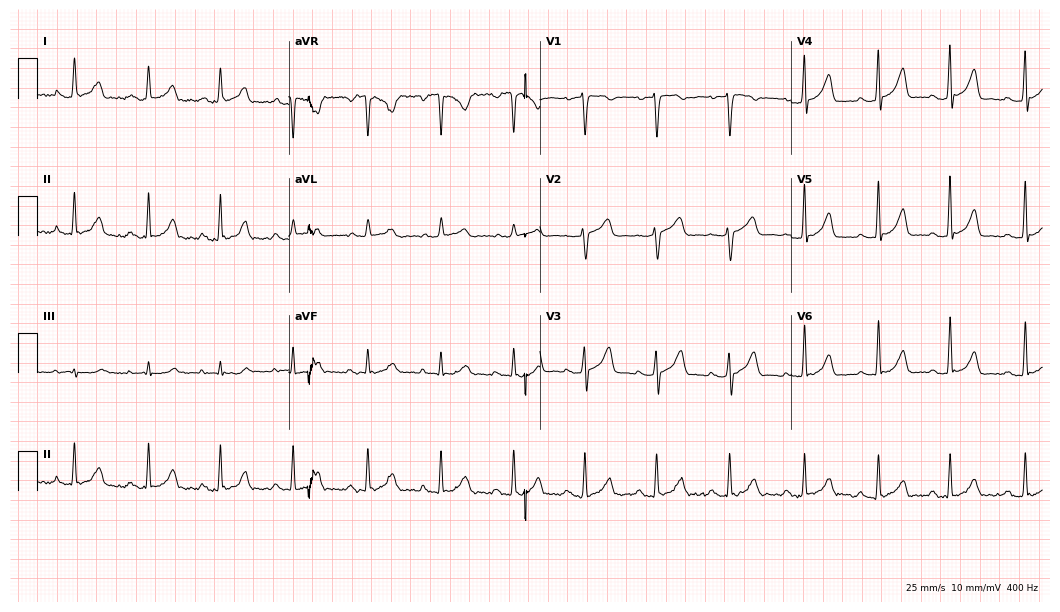
Electrocardiogram, a 48-year-old woman. Overall reading on record: normal ECG.